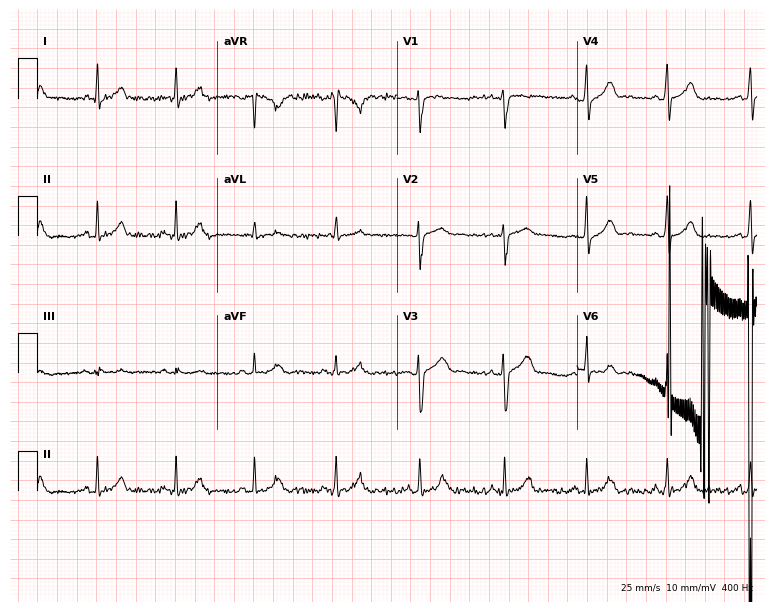
12-lead ECG (7.3-second recording at 400 Hz) from a female patient, 36 years old. Labelled as a normal ECG.